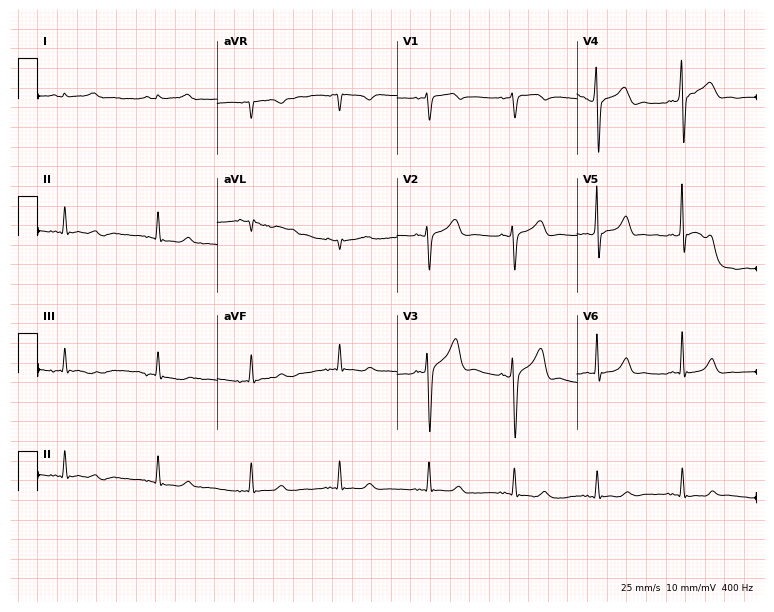
Resting 12-lead electrocardiogram (7.3-second recording at 400 Hz). Patient: a male, 45 years old. None of these six findings is recorded: first-degree AV block, right bundle branch block, left bundle branch block, sinus bradycardia, atrial fibrillation, sinus tachycardia.